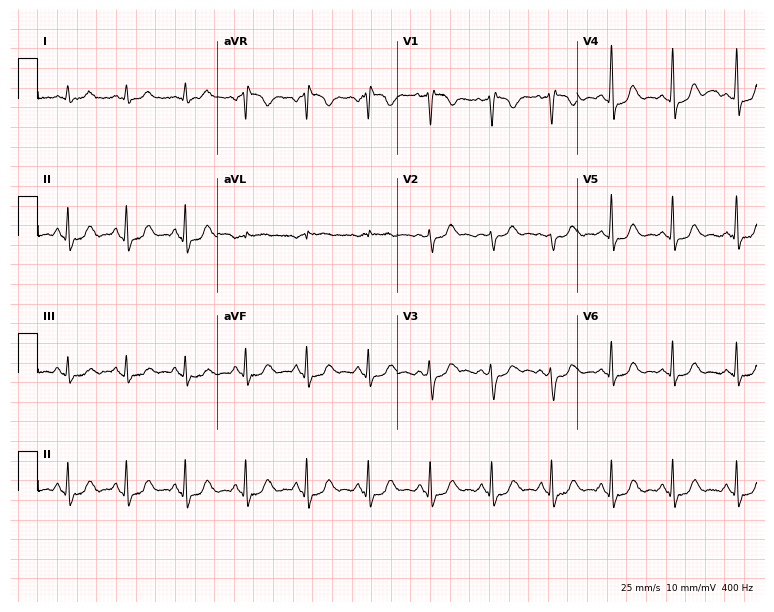
12-lead ECG from a female, 52 years old (7.3-second recording at 400 Hz). Recorded interpretation: within normal limits.